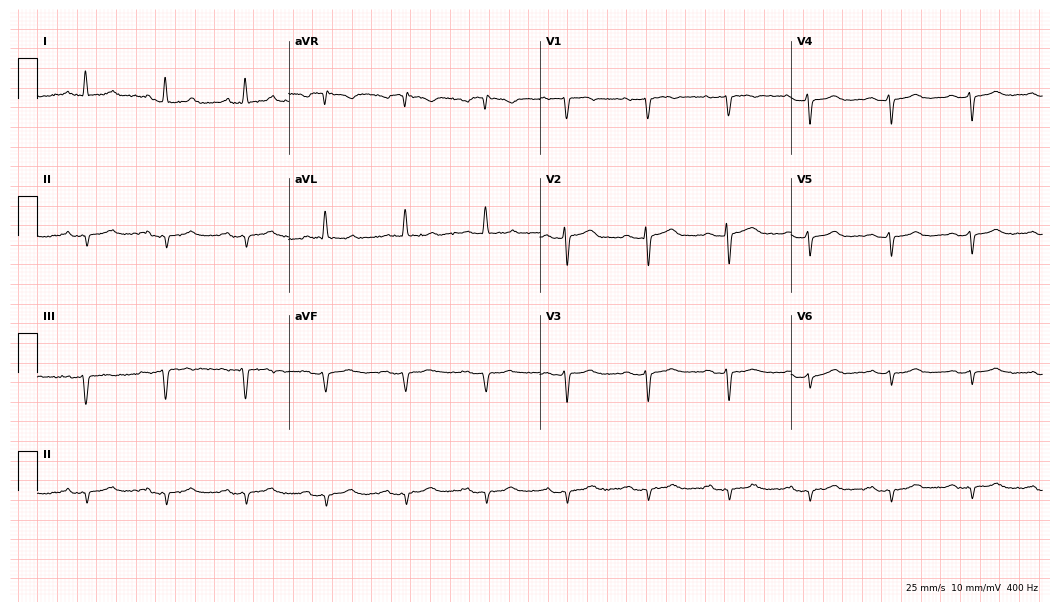
12-lead ECG from a female patient, 75 years old. No first-degree AV block, right bundle branch block (RBBB), left bundle branch block (LBBB), sinus bradycardia, atrial fibrillation (AF) or sinus tachycardia recorded for this tracing.